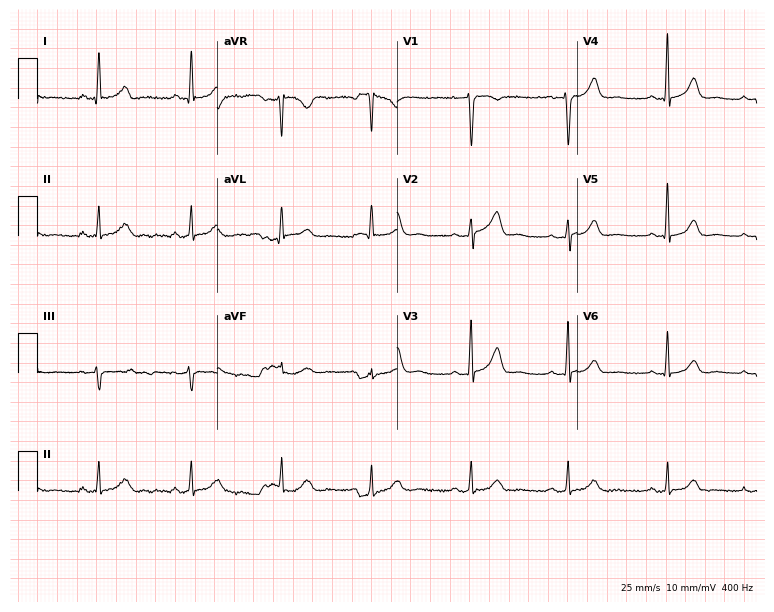
ECG (7.3-second recording at 400 Hz) — a female, 53 years old. Screened for six findings — first-degree AV block, right bundle branch block (RBBB), left bundle branch block (LBBB), sinus bradycardia, atrial fibrillation (AF), sinus tachycardia — none is recorded. Other findings, if any, are not listed.